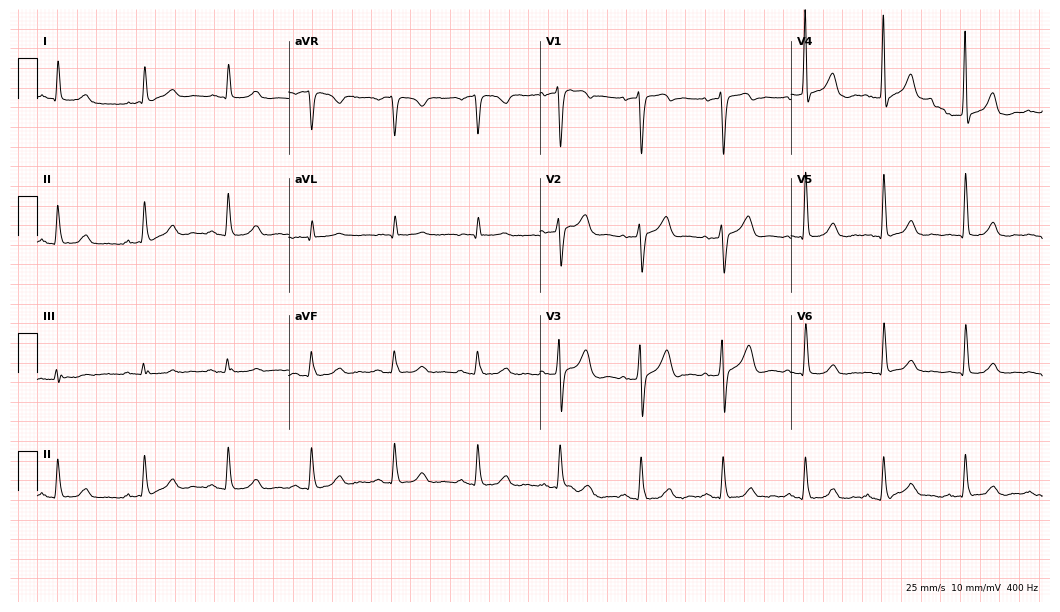
ECG (10.2-second recording at 400 Hz) — a 75-year-old male patient. Labelled as a normal ECG.